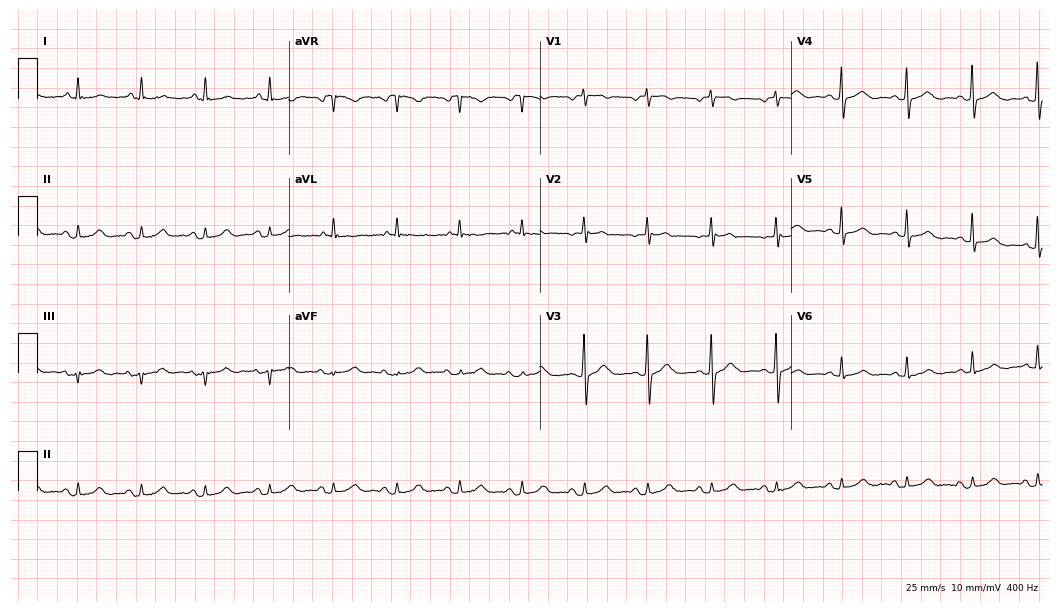
Standard 12-lead ECG recorded from a female patient, 59 years old. Read as a normal ECG.